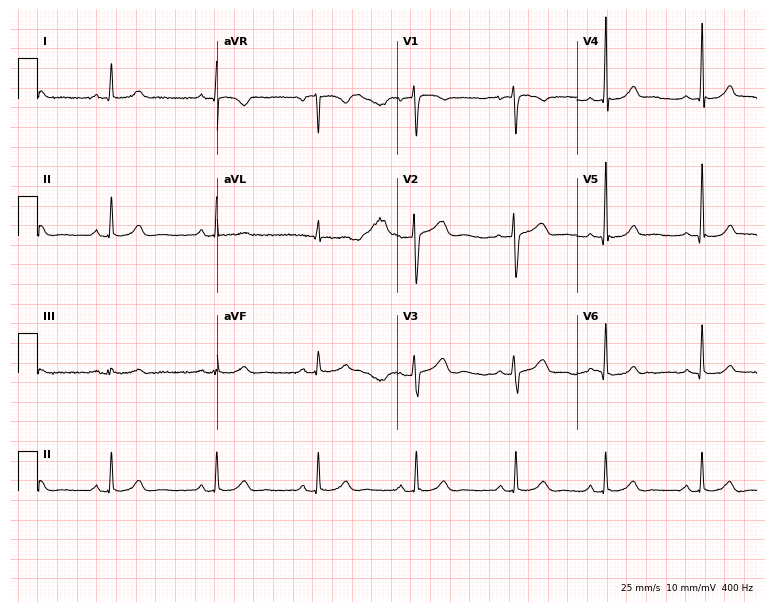
Electrocardiogram, a 30-year-old woman. Overall reading on record: normal ECG.